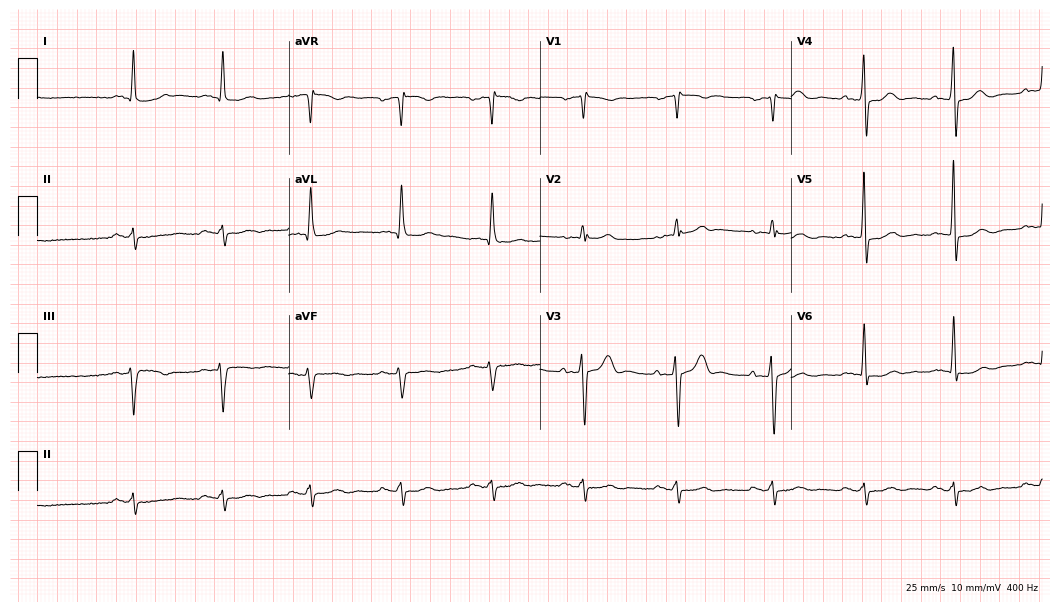
12-lead ECG from a man, 68 years old. Screened for six findings — first-degree AV block, right bundle branch block, left bundle branch block, sinus bradycardia, atrial fibrillation, sinus tachycardia — none is recorded.